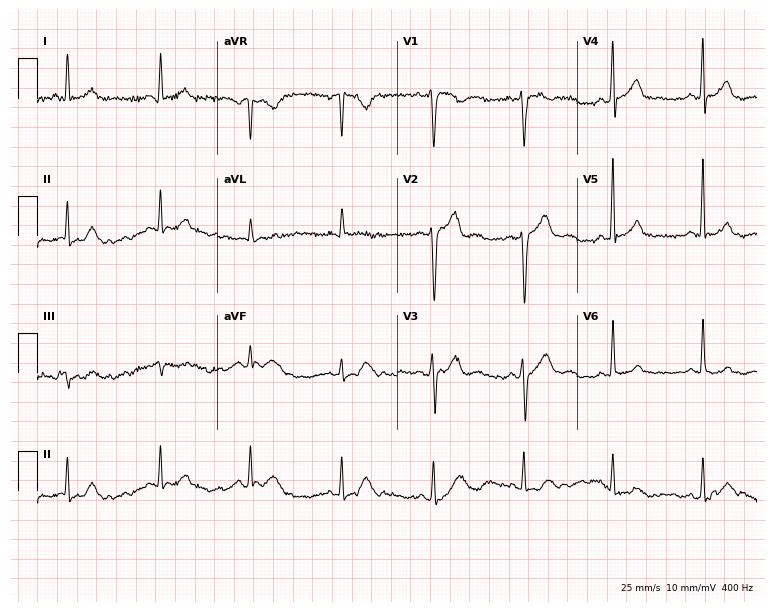
12-lead ECG (7.3-second recording at 400 Hz) from a man, 59 years old. Screened for six findings — first-degree AV block, right bundle branch block (RBBB), left bundle branch block (LBBB), sinus bradycardia, atrial fibrillation (AF), sinus tachycardia — none is recorded. Only these six findings were labelled.